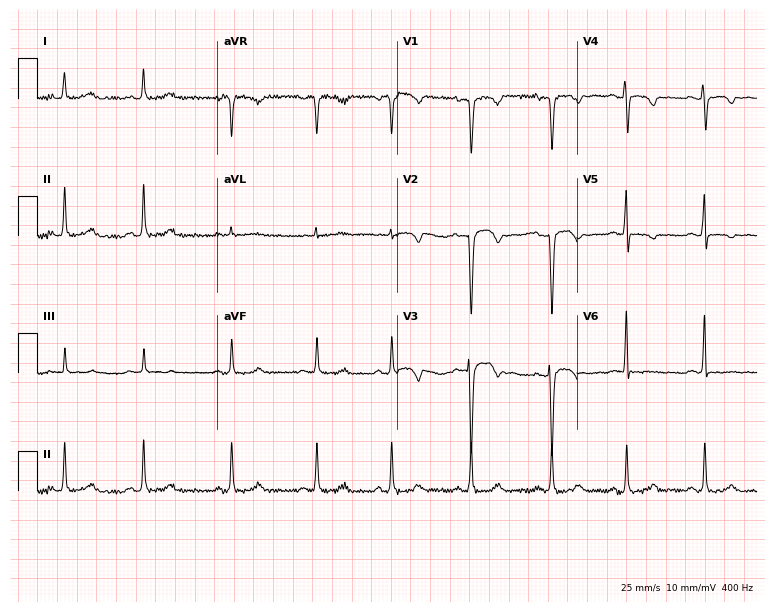
ECG — a female, 30 years old. Screened for six findings — first-degree AV block, right bundle branch block, left bundle branch block, sinus bradycardia, atrial fibrillation, sinus tachycardia — none is recorded. Other findings, if any, are not listed.